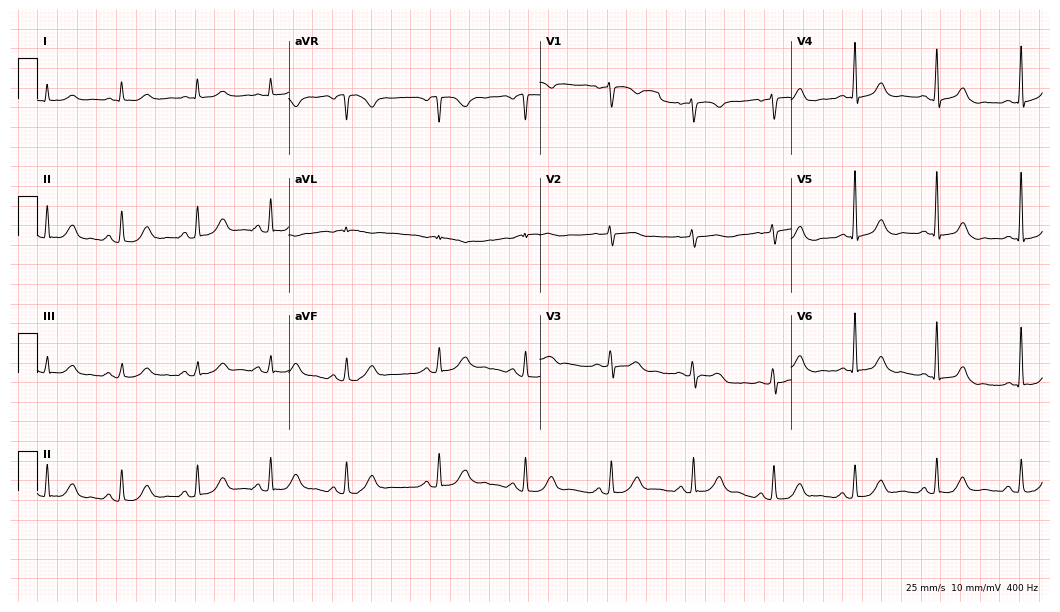
Resting 12-lead electrocardiogram (10.2-second recording at 400 Hz). Patient: a male, 73 years old. Read as a normal ECG.